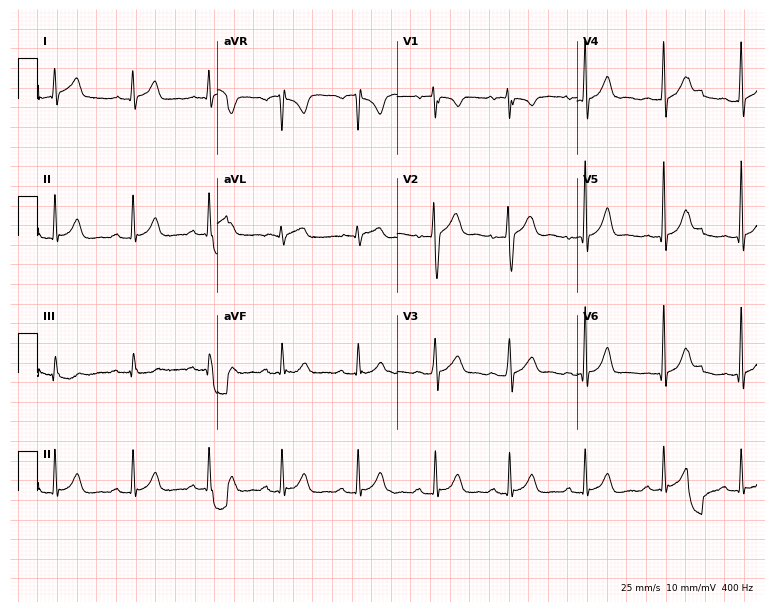
Resting 12-lead electrocardiogram. Patient: a 22-year-old male. None of these six findings is recorded: first-degree AV block, right bundle branch block, left bundle branch block, sinus bradycardia, atrial fibrillation, sinus tachycardia. Only these six findings were labelled.